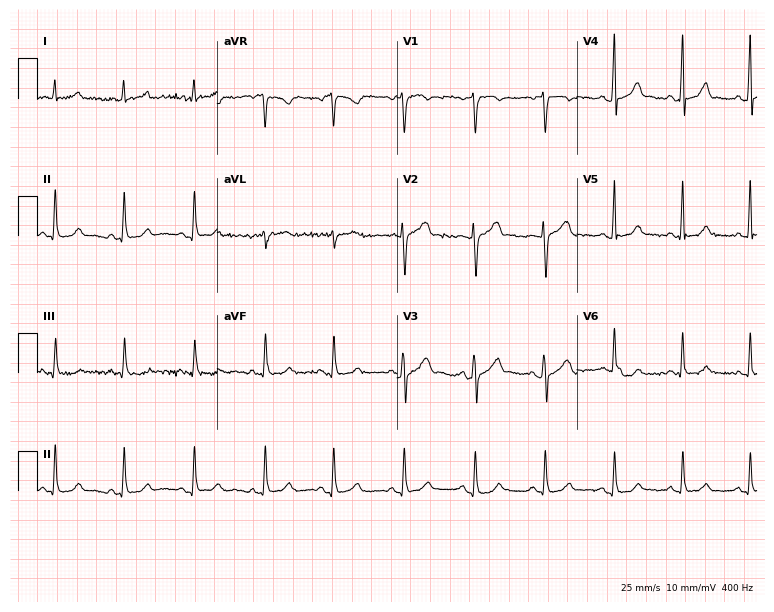
Standard 12-lead ECG recorded from a female, 36 years old. Read as a normal ECG.